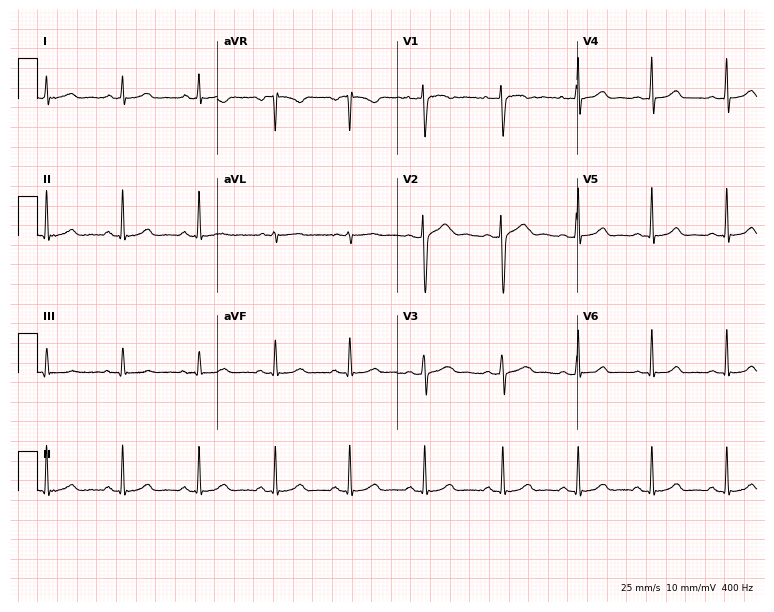
ECG — a 19-year-old female patient. Labelled as a normal ECG.